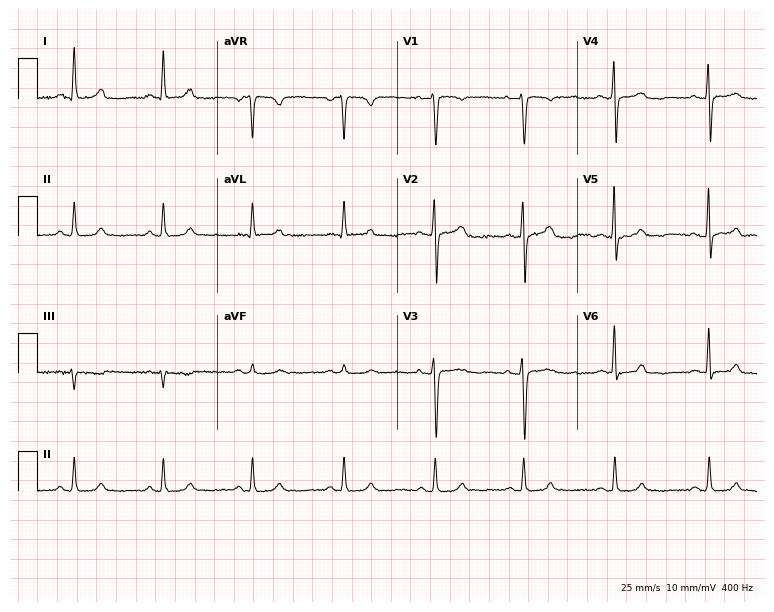
ECG (7.3-second recording at 400 Hz) — a 43-year-old female. Labelled as a normal ECG.